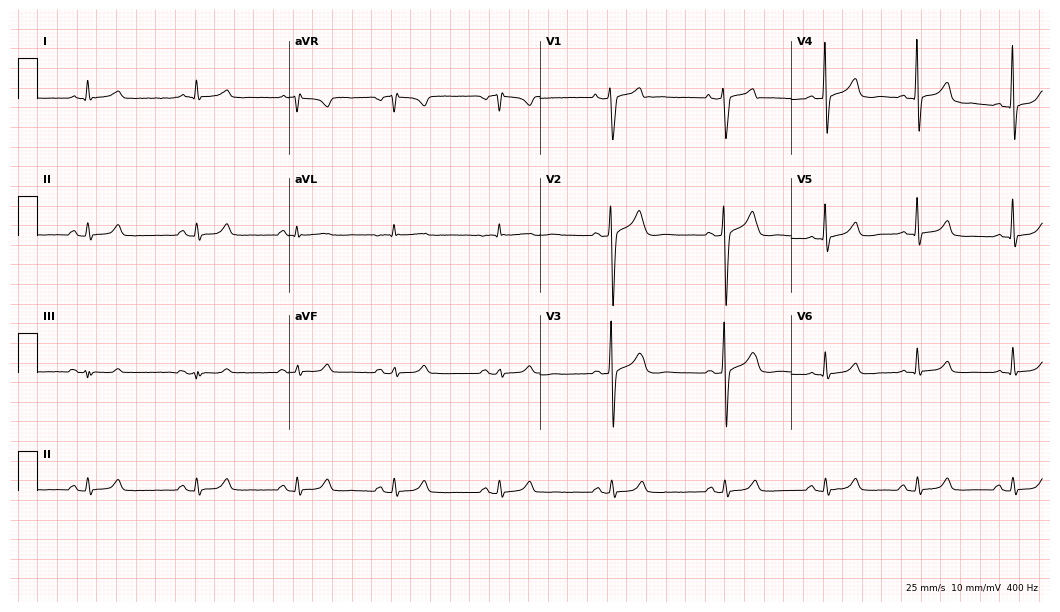
Electrocardiogram, a 60-year-old male. Overall reading on record: normal ECG.